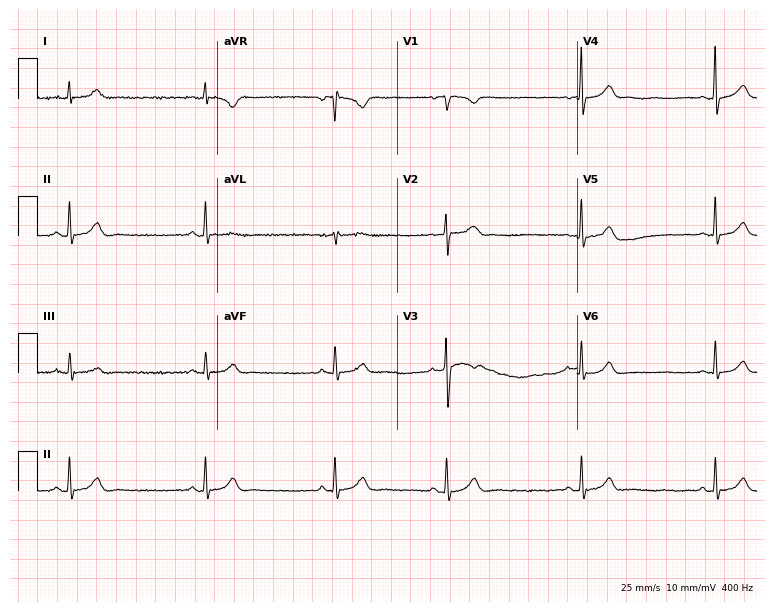
ECG (7.3-second recording at 400 Hz) — a 19-year-old woman. Findings include sinus bradycardia (a sinus rate of 50 beats per minute or less).